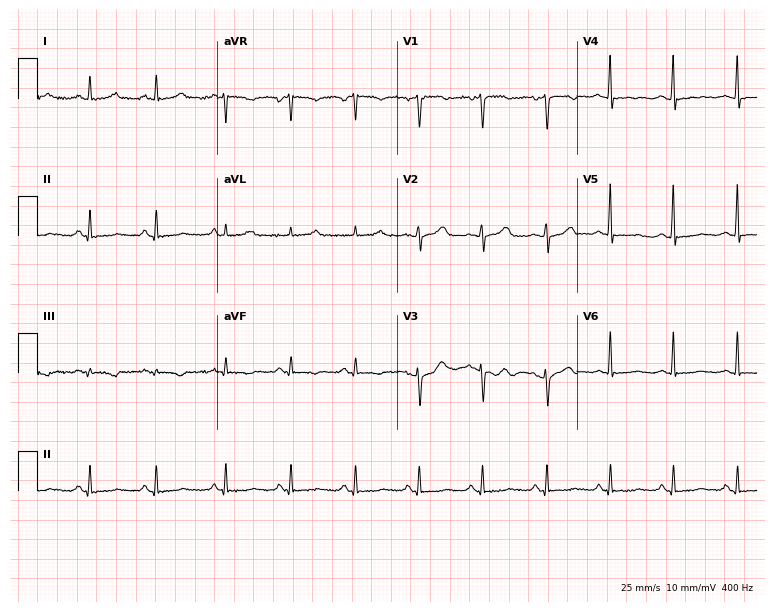
Resting 12-lead electrocardiogram. Patient: a female, 53 years old. None of these six findings is recorded: first-degree AV block, right bundle branch block (RBBB), left bundle branch block (LBBB), sinus bradycardia, atrial fibrillation (AF), sinus tachycardia. Findings outside these six are not listed.